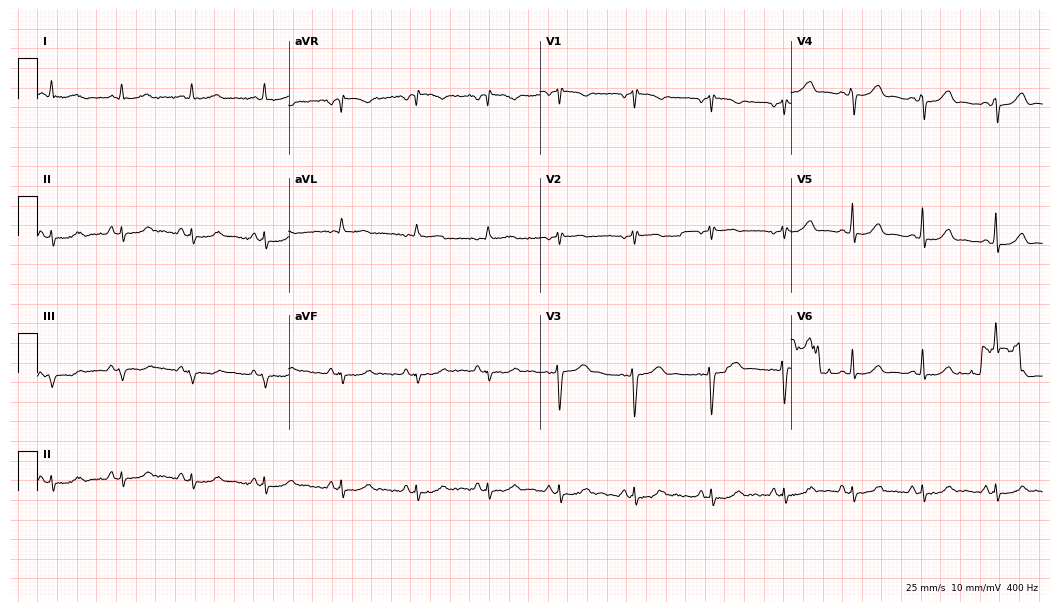
12-lead ECG from a 27-year-old woman (10.2-second recording at 400 Hz). Recorded interpretation: within normal limits.